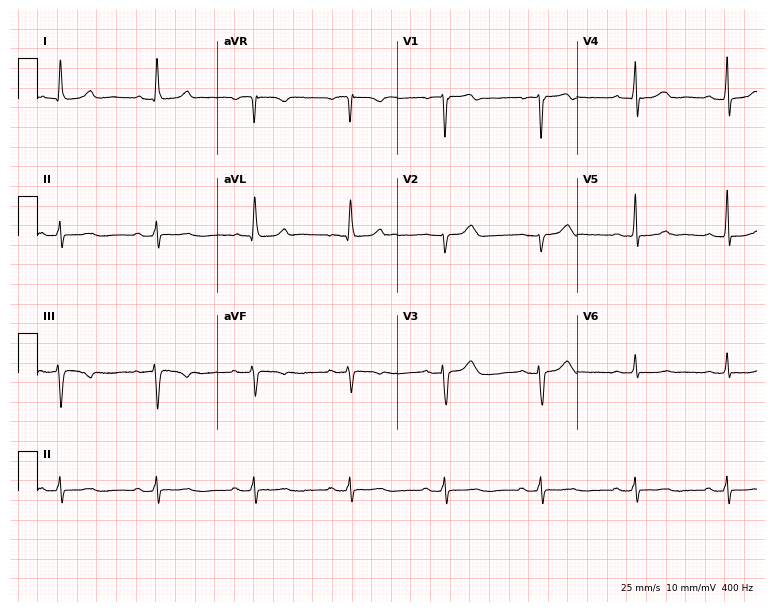
Resting 12-lead electrocardiogram. Patient: a female, 25 years old. Read as a normal ECG.